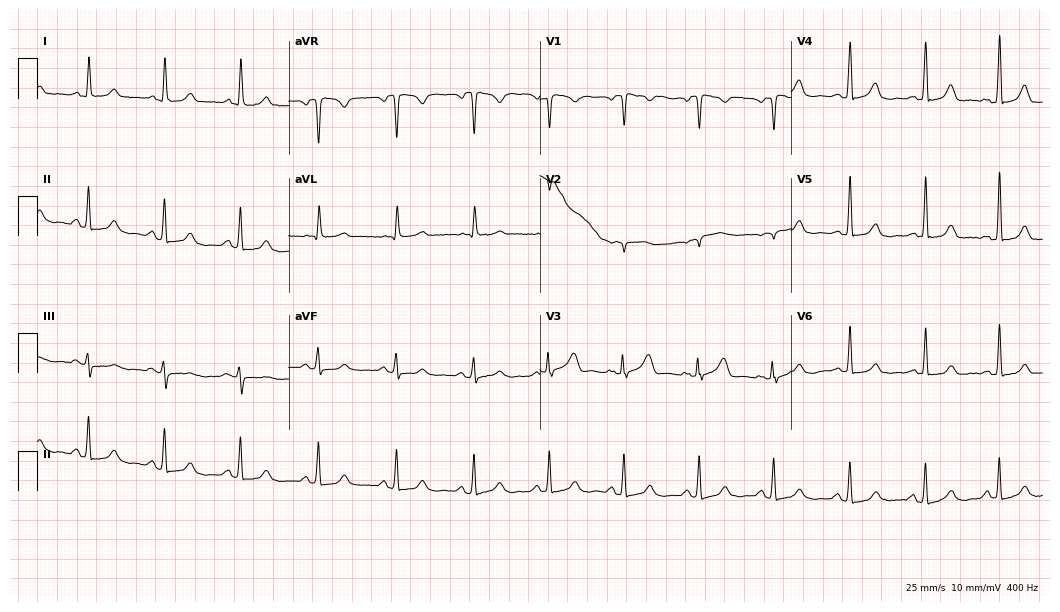
Electrocardiogram, a woman, 74 years old. Of the six screened findings (first-degree AV block, right bundle branch block, left bundle branch block, sinus bradycardia, atrial fibrillation, sinus tachycardia), none is recorded. Findings outside these six are not listed.